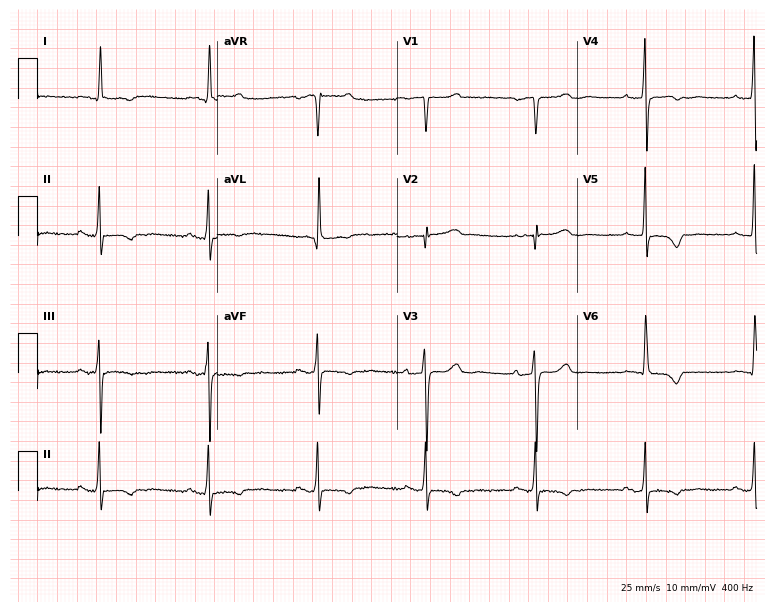
12-lead ECG from a 76-year-old woman (7.3-second recording at 400 Hz). No first-degree AV block, right bundle branch block, left bundle branch block, sinus bradycardia, atrial fibrillation or sinus tachycardia recorded for this tracing.